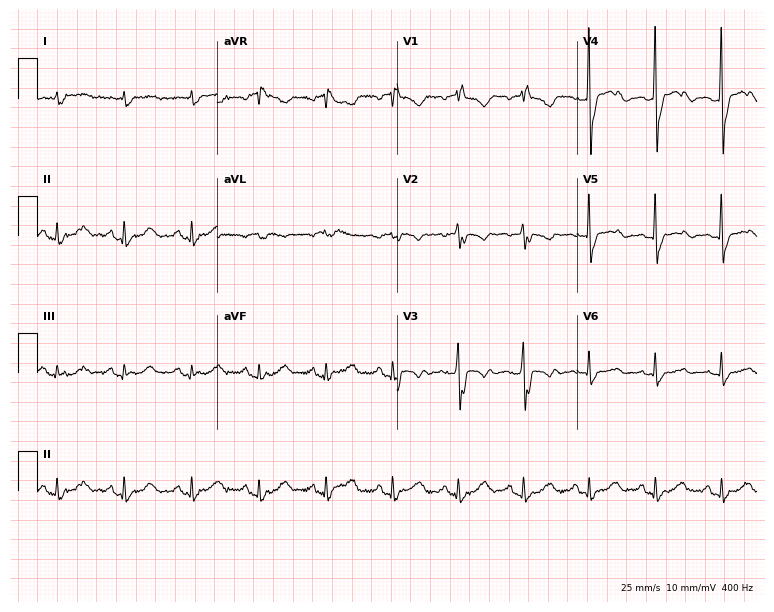
Resting 12-lead electrocardiogram. Patient: a woman, 80 years old. The tracing shows right bundle branch block.